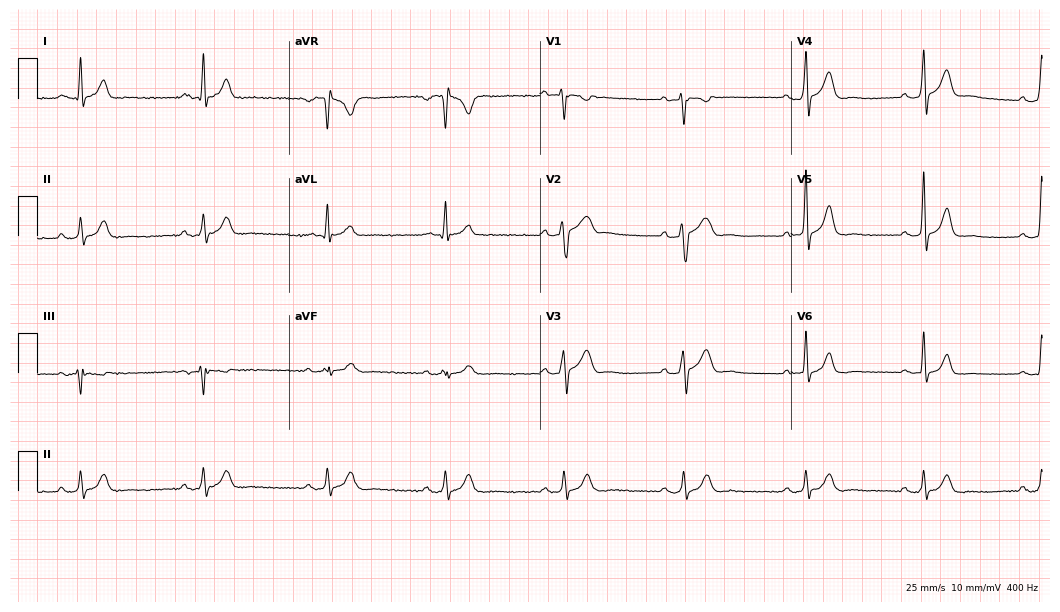
12-lead ECG from a male, 49 years old (10.2-second recording at 400 Hz). No first-degree AV block, right bundle branch block (RBBB), left bundle branch block (LBBB), sinus bradycardia, atrial fibrillation (AF) or sinus tachycardia recorded for this tracing. Other findings, if any, are not listed.